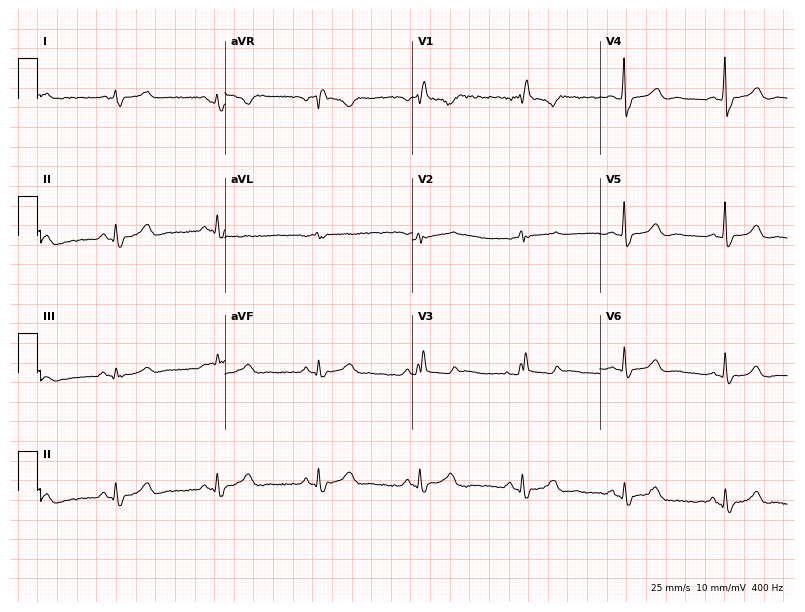
12-lead ECG from a female, 70 years old (7.6-second recording at 400 Hz). Shows right bundle branch block (RBBB).